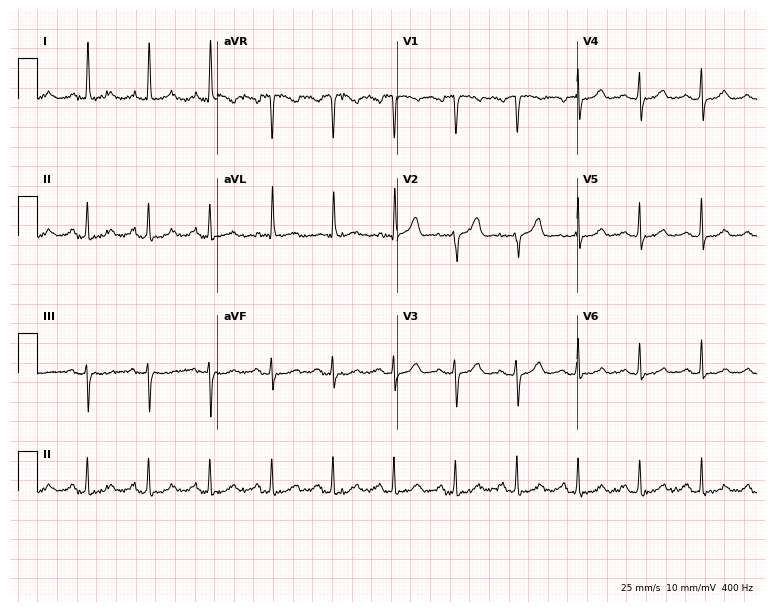
ECG — a female patient, 85 years old. Labelled as a normal ECG.